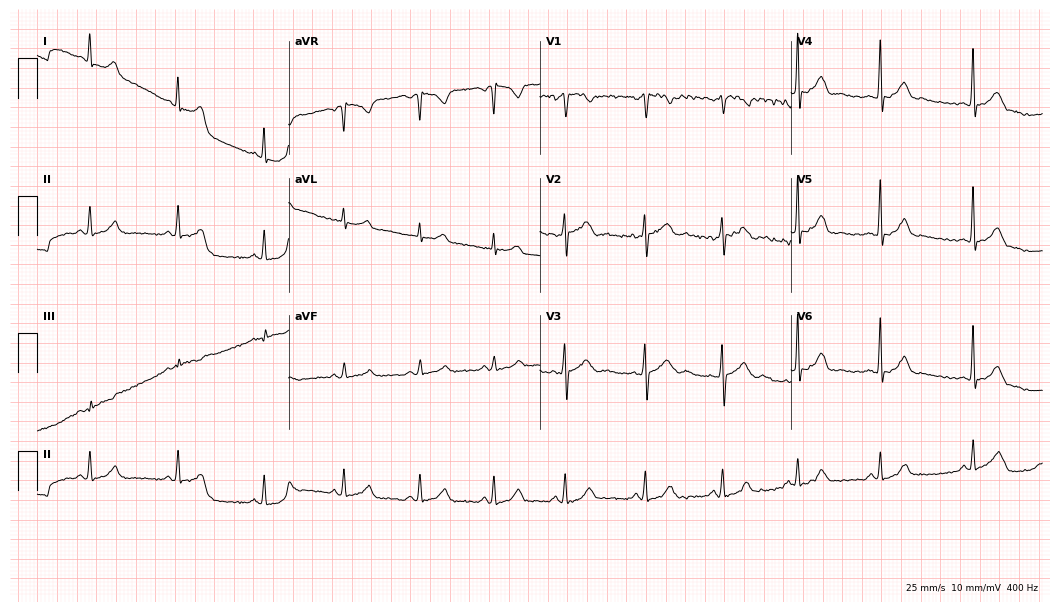
12-lead ECG (10.2-second recording at 400 Hz) from a female, 35 years old. Labelled as a normal ECG.